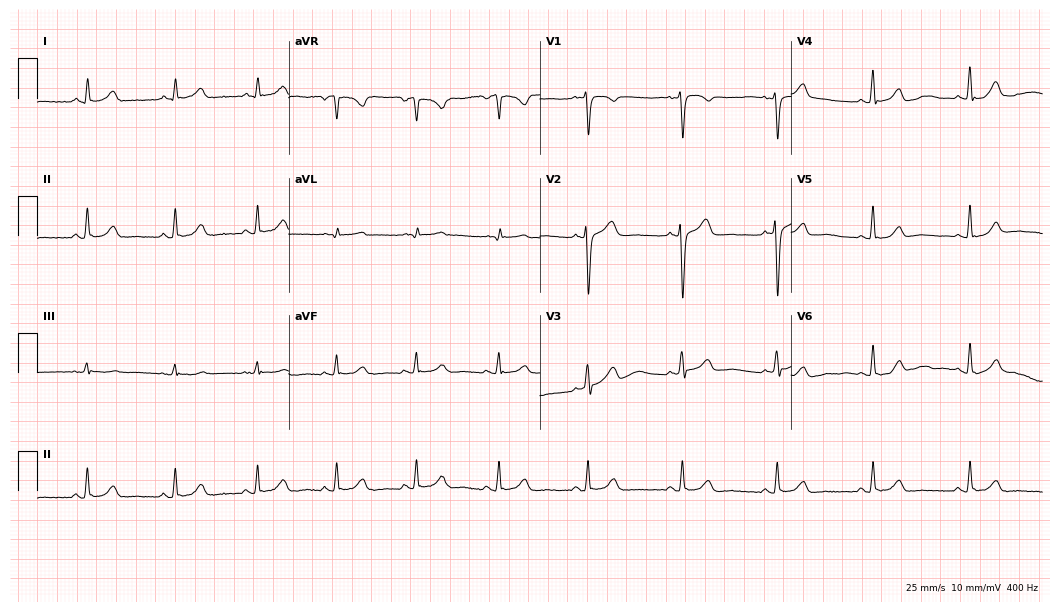
Standard 12-lead ECG recorded from a 47-year-old female patient. Read as a normal ECG.